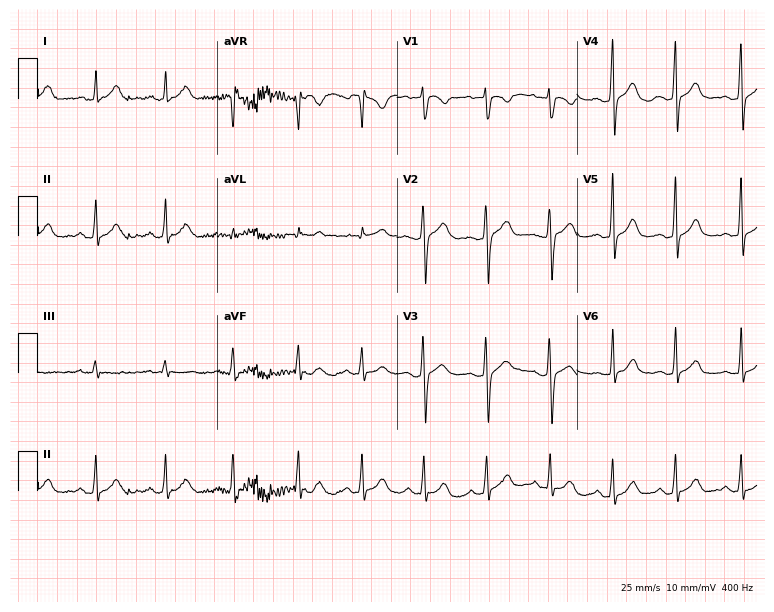
12-lead ECG from a 19-year-old woman. Labelled as a normal ECG.